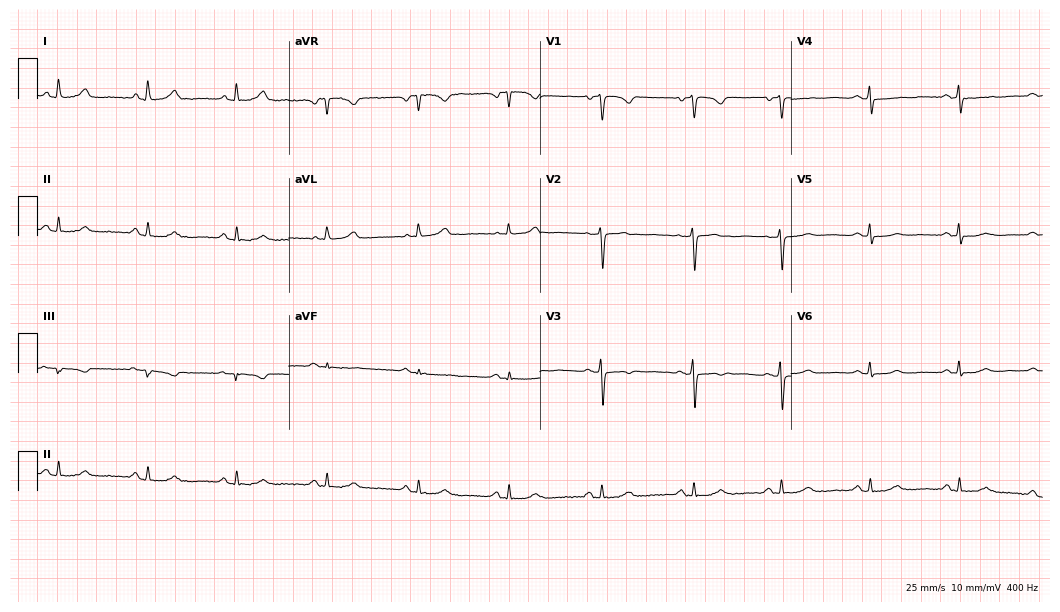
12-lead ECG from a 43-year-old woman. No first-degree AV block, right bundle branch block (RBBB), left bundle branch block (LBBB), sinus bradycardia, atrial fibrillation (AF) or sinus tachycardia recorded for this tracing.